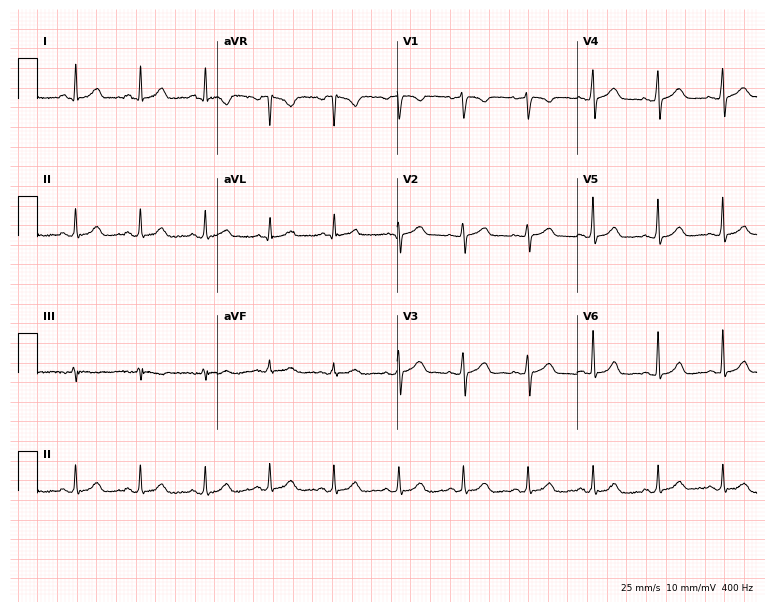
Electrocardiogram, a woman, 45 years old. Of the six screened findings (first-degree AV block, right bundle branch block, left bundle branch block, sinus bradycardia, atrial fibrillation, sinus tachycardia), none is recorded.